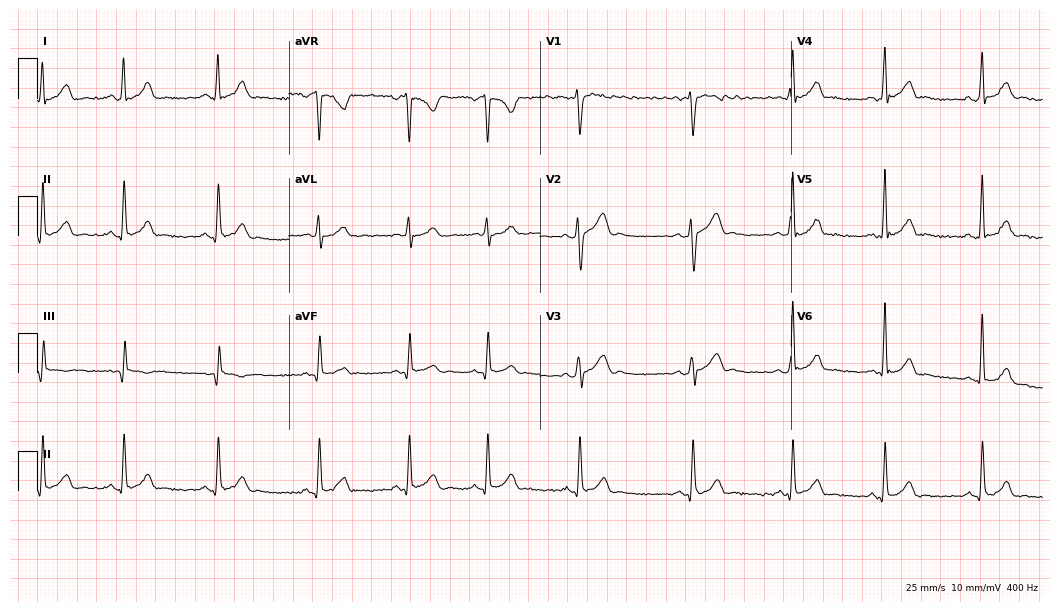
12-lead ECG from a male, 22 years old. Recorded interpretation: within normal limits.